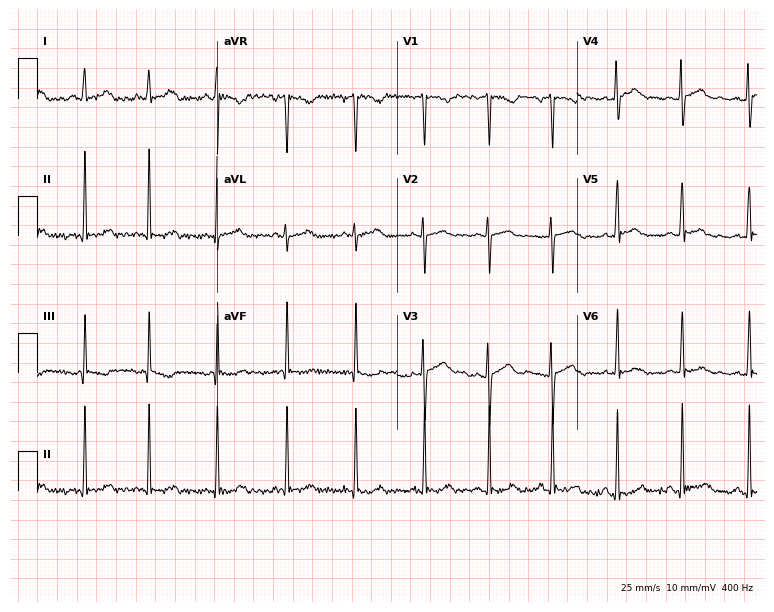
12-lead ECG (7.3-second recording at 400 Hz) from a woman, 24 years old. Labelled as a normal ECG.